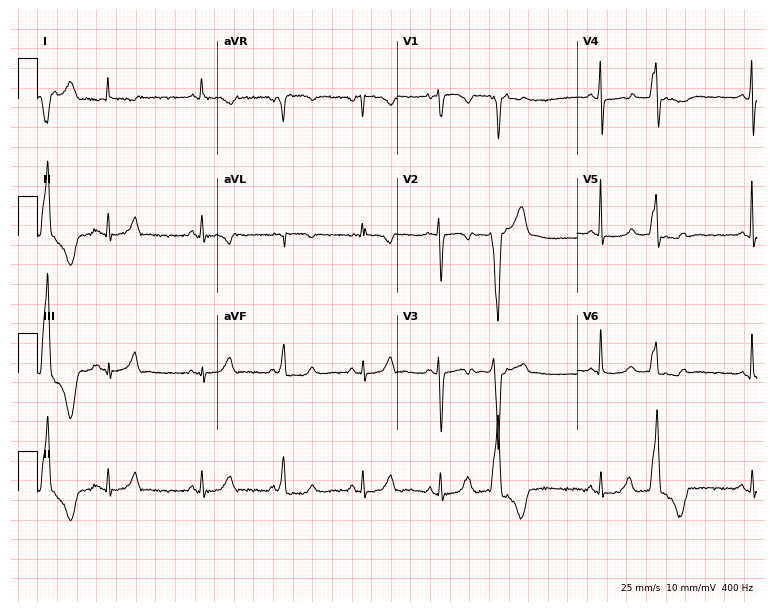
Electrocardiogram, a 45-year-old female. Of the six screened findings (first-degree AV block, right bundle branch block, left bundle branch block, sinus bradycardia, atrial fibrillation, sinus tachycardia), none is recorded. Only these six findings were labelled.